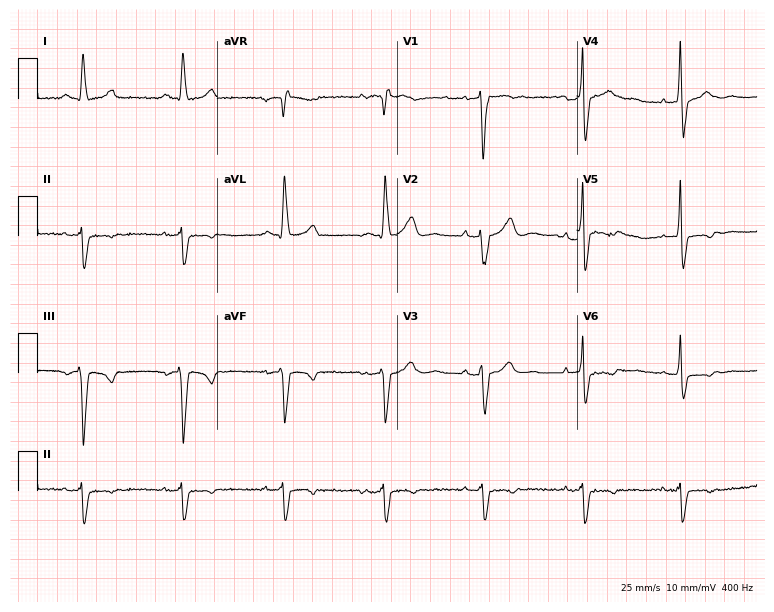
Standard 12-lead ECG recorded from a male patient, 70 years old. None of these six findings is recorded: first-degree AV block, right bundle branch block (RBBB), left bundle branch block (LBBB), sinus bradycardia, atrial fibrillation (AF), sinus tachycardia.